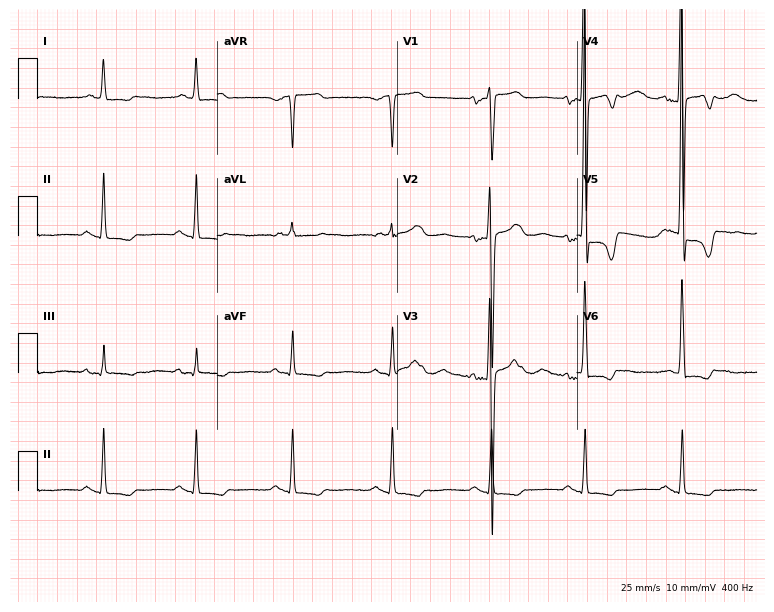
12-lead ECG from a woman, 74 years old (7.3-second recording at 400 Hz). No first-degree AV block, right bundle branch block (RBBB), left bundle branch block (LBBB), sinus bradycardia, atrial fibrillation (AF) or sinus tachycardia recorded for this tracing.